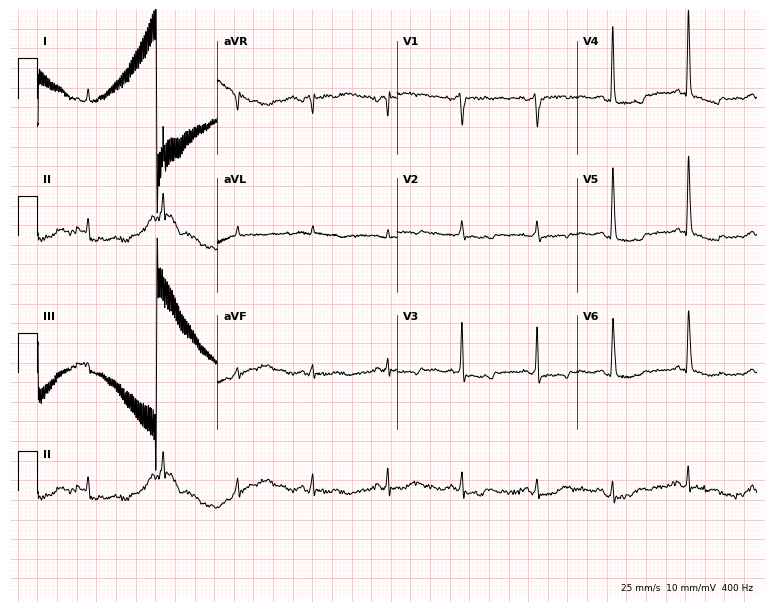
Standard 12-lead ECG recorded from a female patient, 78 years old (7.3-second recording at 400 Hz). None of these six findings is recorded: first-degree AV block, right bundle branch block, left bundle branch block, sinus bradycardia, atrial fibrillation, sinus tachycardia. Other findings, if any, are not listed.